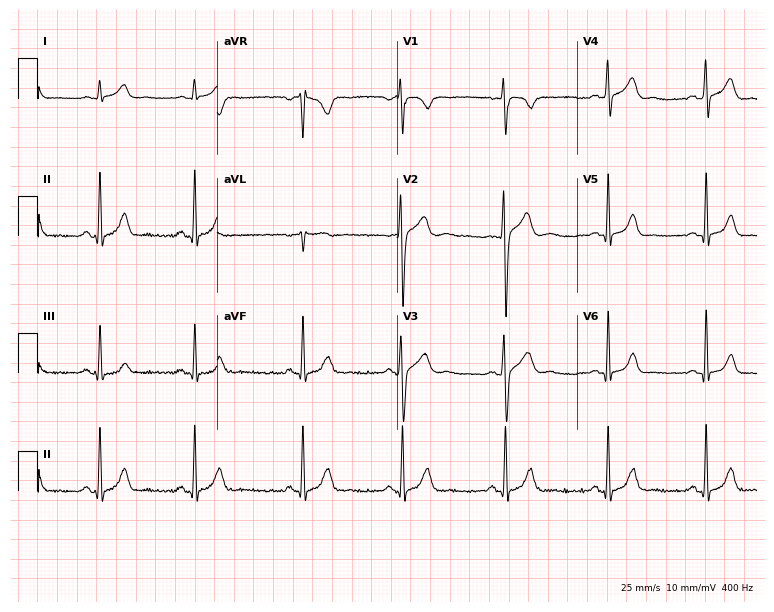
Standard 12-lead ECG recorded from a male, 26 years old (7.3-second recording at 400 Hz). Read as a normal ECG.